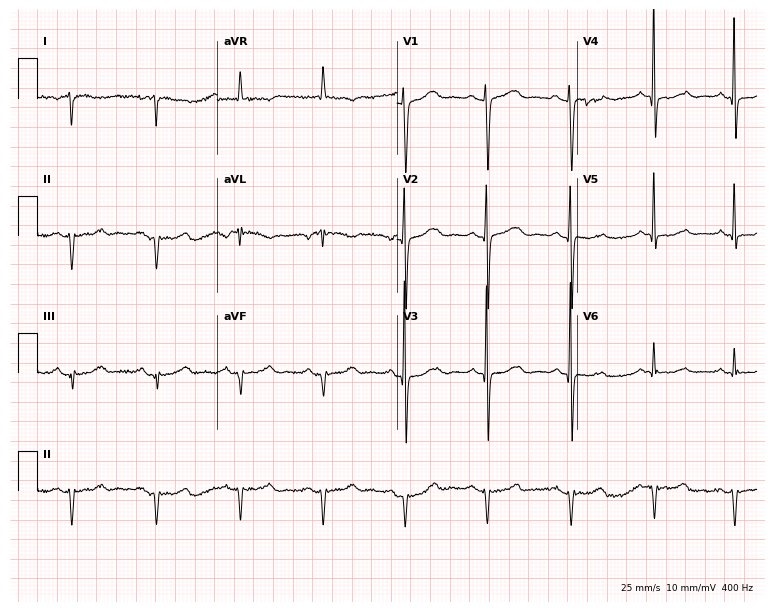
Electrocardiogram, a female, 81 years old. Of the six screened findings (first-degree AV block, right bundle branch block (RBBB), left bundle branch block (LBBB), sinus bradycardia, atrial fibrillation (AF), sinus tachycardia), none is recorded.